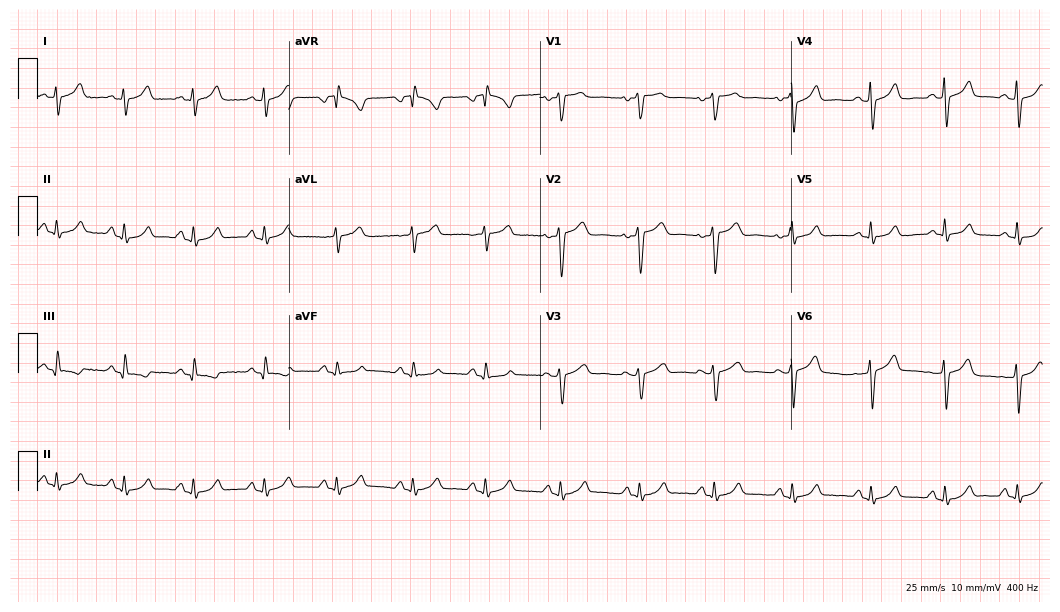
ECG (10.2-second recording at 400 Hz) — a woman, 41 years old. Labelled as a normal ECG.